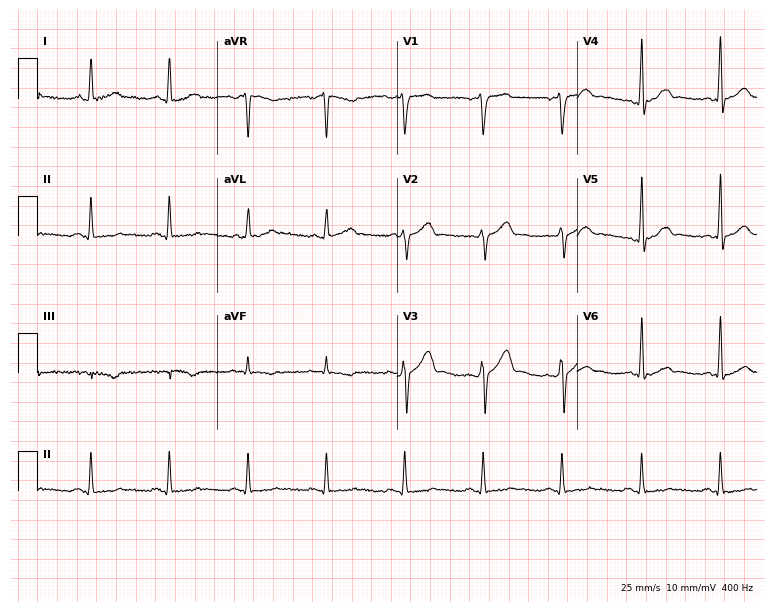
Standard 12-lead ECG recorded from a 49-year-old male patient (7.3-second recording at 400 Hz). None of these six findings is recorded: first-degree AV block, right bundle branch block, left bundle branch block, sinus bradycardia, atrial fibrillation, sinus tachycardia.